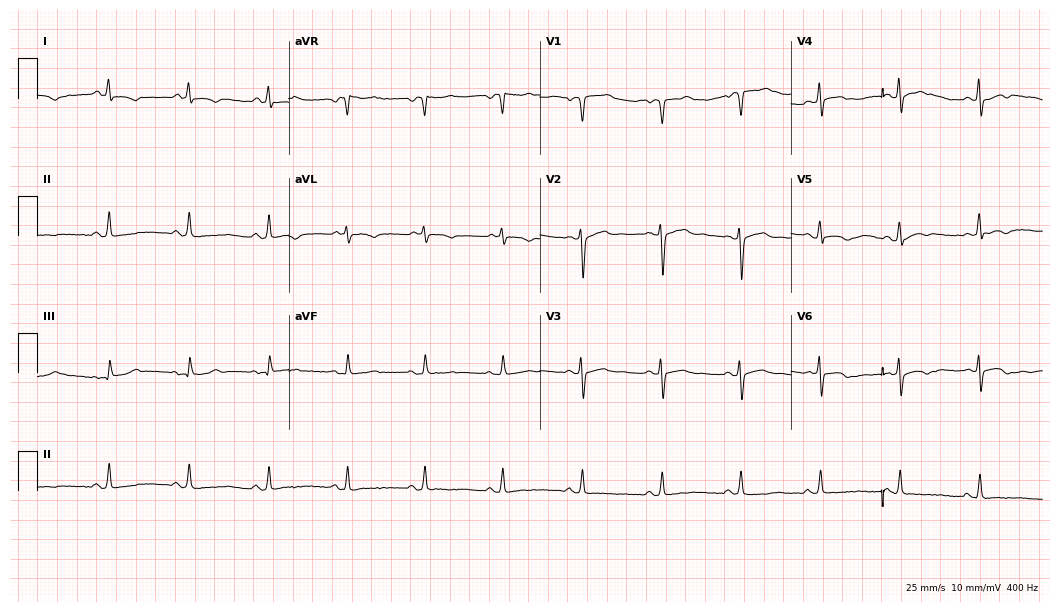
Electrocardiogram (10.2-second recording at 400 Hz), a male, 48 years old. Of the six screened findings (first-degree AV block, right bundle branch block (RBBB), left bundle branch block (LBBB), sinus bradycardia, atrial fibrillation (AF), sinus tachycardia), none is recorded.